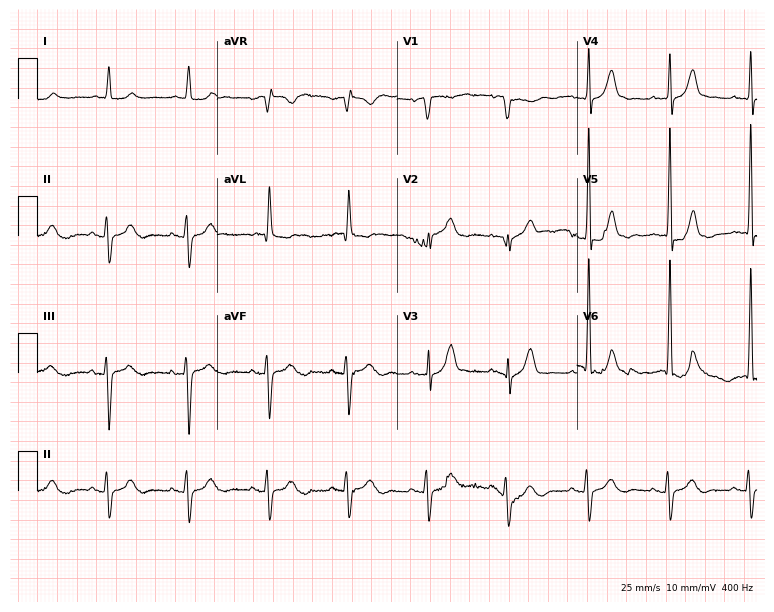
ECG — a man, 83 years old. Screened for six findings — first-degree AV block, right bundle branch block (RBBB), left bundle branch block (LBBB), sinus bradycardia, atrial fibrillation (AF), sinus tachycardia — none is recorded.